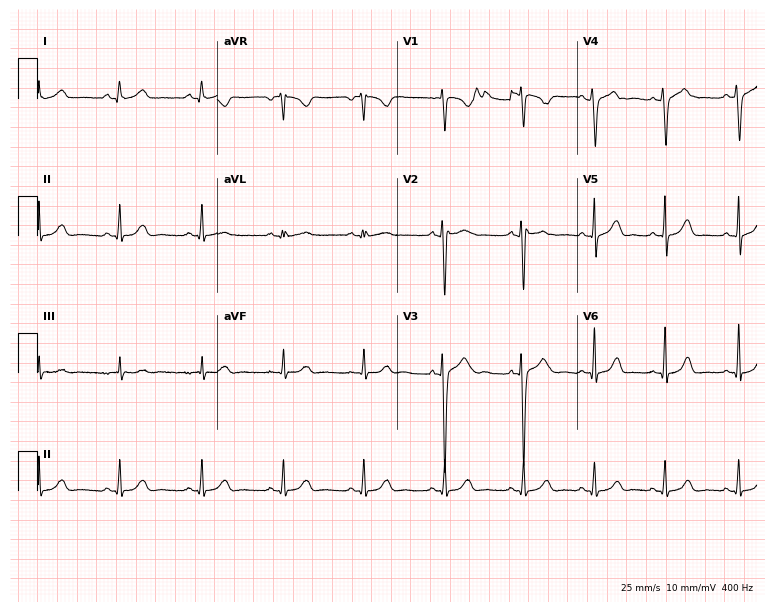
Resting 12-lead electrocardiogram (7.3-second recording at 400 Hz). Patient: a female, 17 years old. Read as a normal ECG.